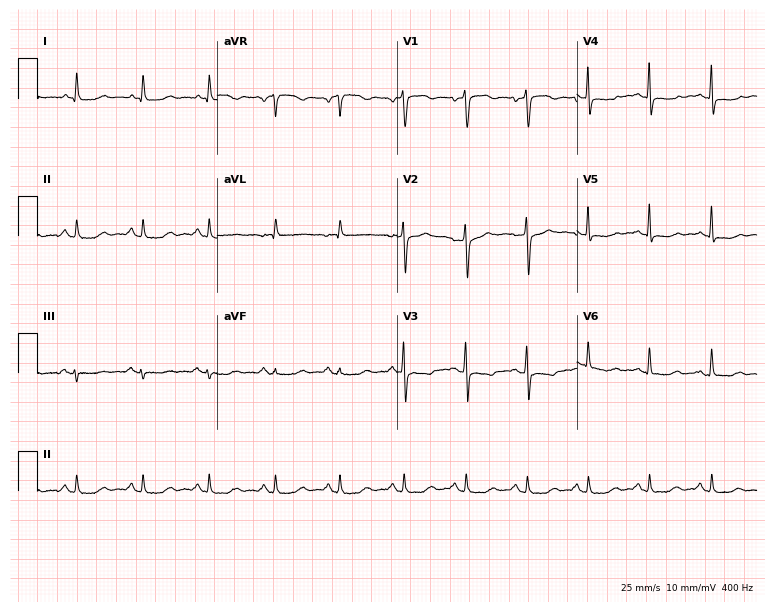
ECG — a female patient, 57 years old. Screened for six findings — first-degree AV block, right bundle branch block, left bundle branch block, sinus bradycardia, atrial fibrillation, sinus tachycardia — none is recorded.